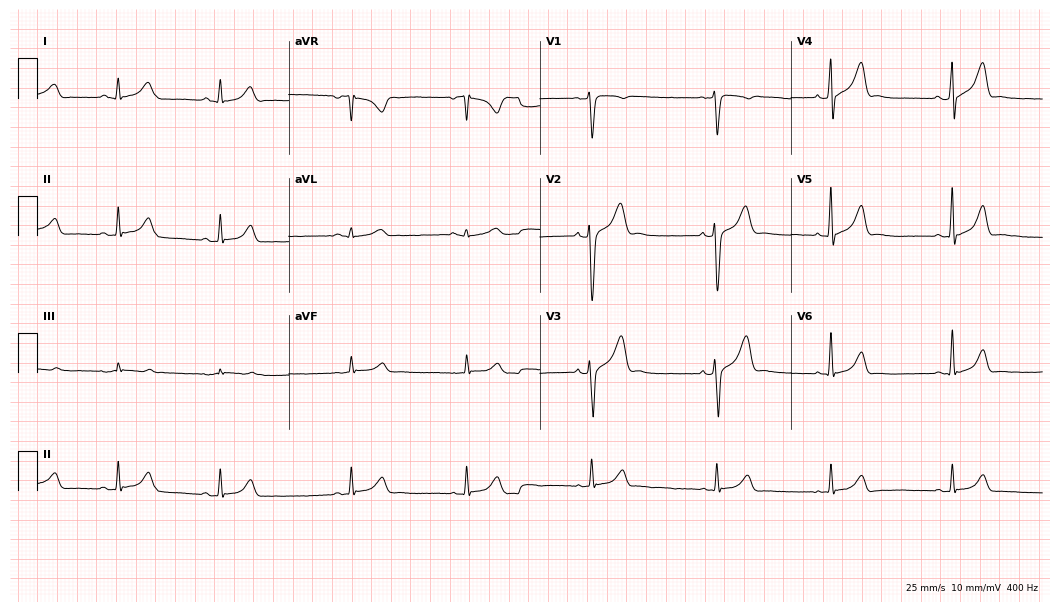
ECG (10.2-second recording at 400 Hz) — a male patient, 29 years old. Screened for six findings — first-degree AV block, right bundle branch block (RBBB), left bundle branch block (LBBB), sinus bradycardia, atrial fibrillation (AF), sinus tachycardia — none is recorded.